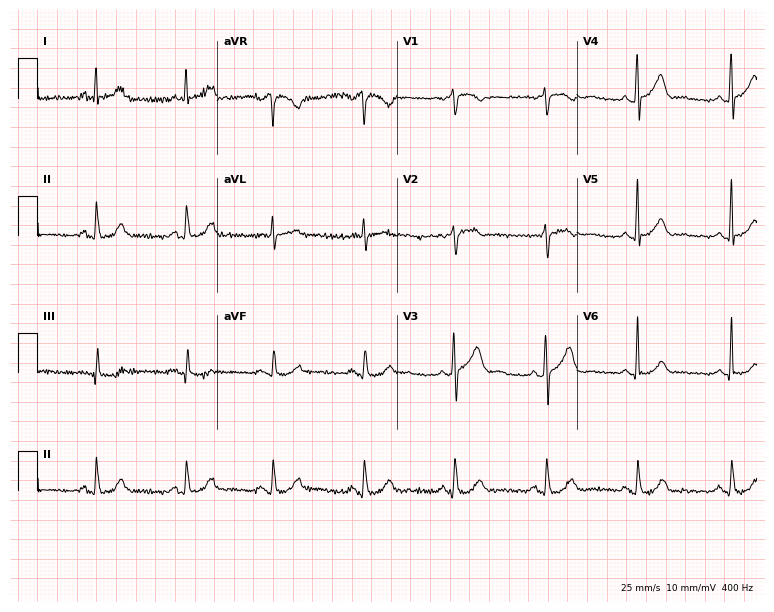
ECG (7.3-second recording at 400 Hz) — a male, 71 years old. Labelled as a normal ECG.